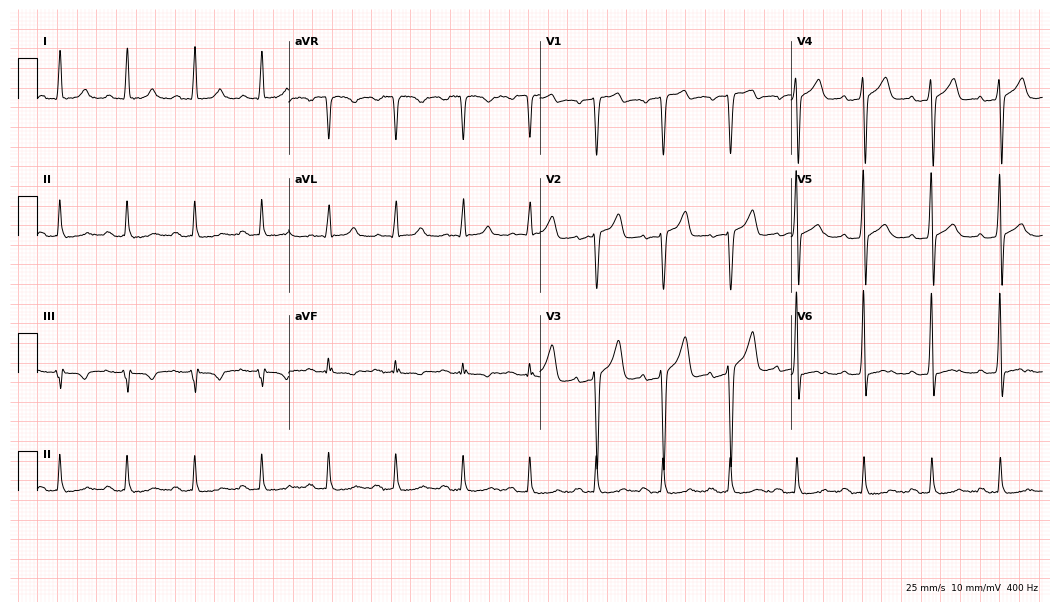
Standard 12-lead ECG recorded from a 47-year-old male patient. None of these six findings is recorded: first-degree AV block, right bundle branch block, left bundle branch block, sinus bradycardia, atrial fibrillation, sinus tachycardia.